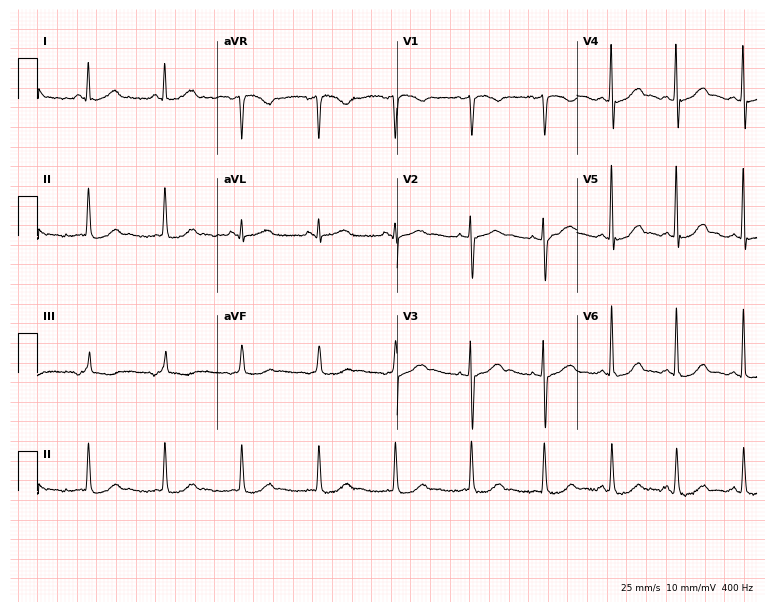
ECG (7.3-second recording at 400 Hz) — a female, 45 years old. Labelled as a normal ECG.